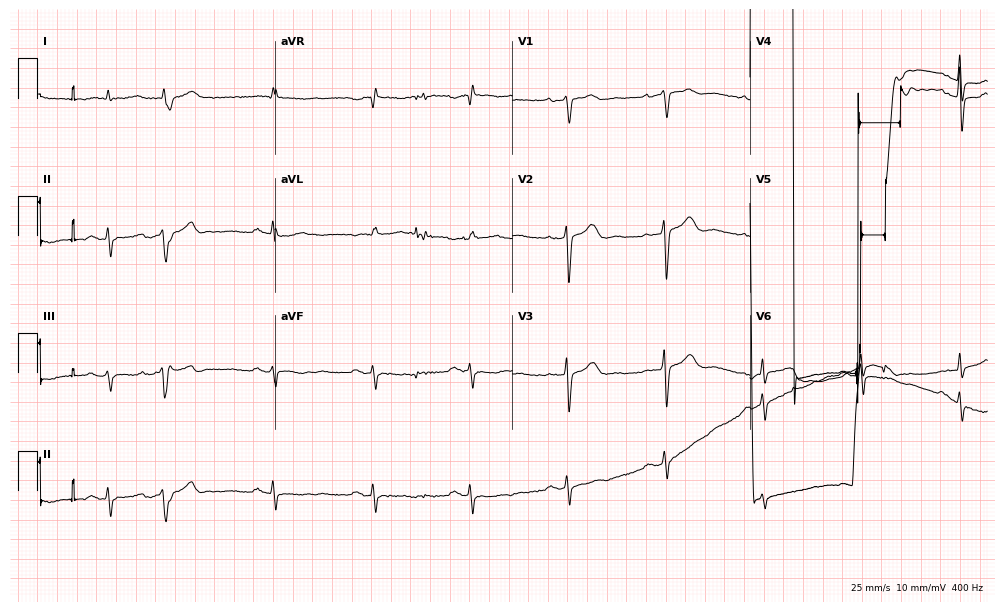
ECG (9.7-second recording at 400 Hz) — a male, 61 years old. Screened for six findings — first-degree AV block, right bundle branch block (RBBB), left bundle branch block (LBBB), sinus bradycardia, atrial fibrillation (AF), sinus tachycardia — none is recorded.